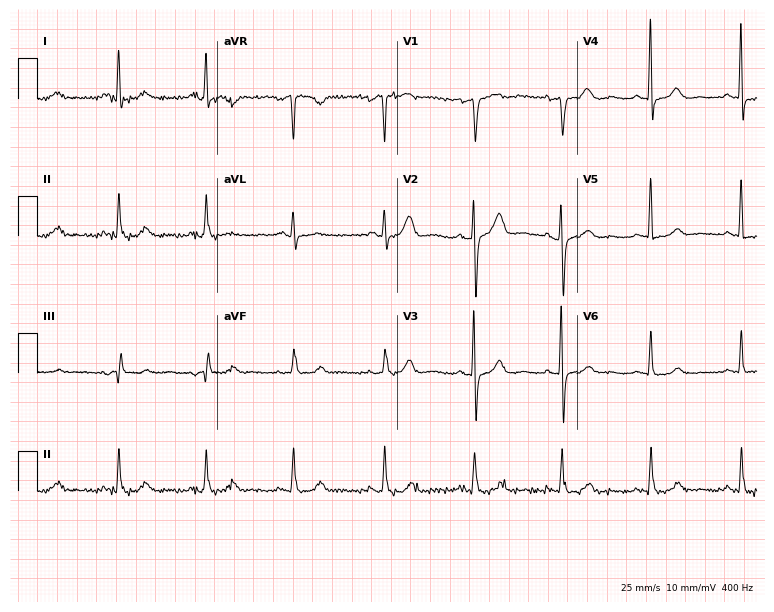
Standard 12-lead ECG recorded from a female patient, 67 years old. Read as a normal ECG.